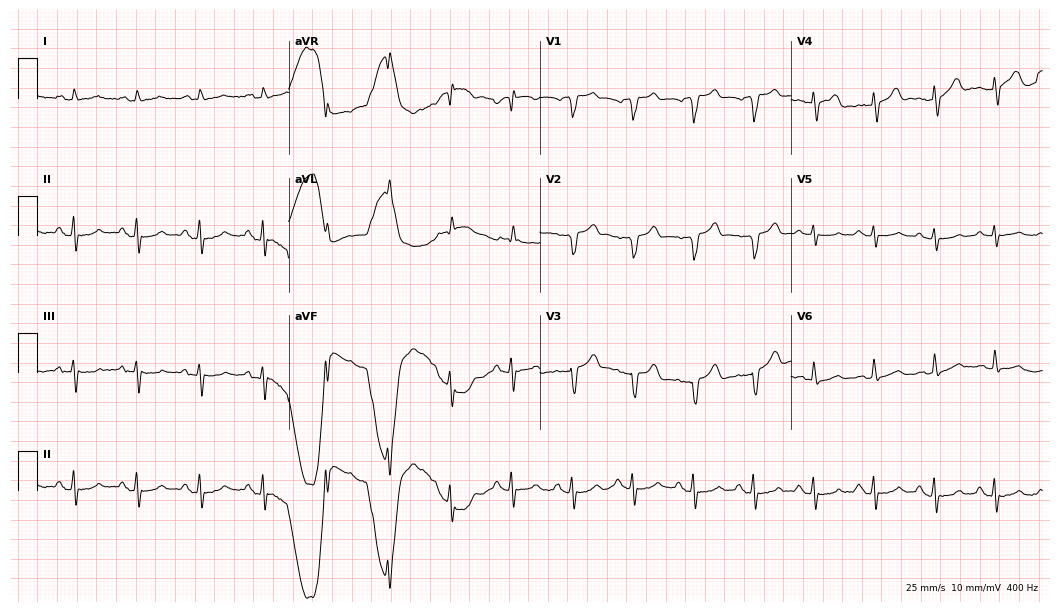
ECG — a male, 77 years old. Screened for six findings — first-degree AV block, right bundle branch block (RBBB), left bundle branch block (LBBB), sinus bradycardia, atrial fibrillation (AF), sinus tachycardia — none is recorded.